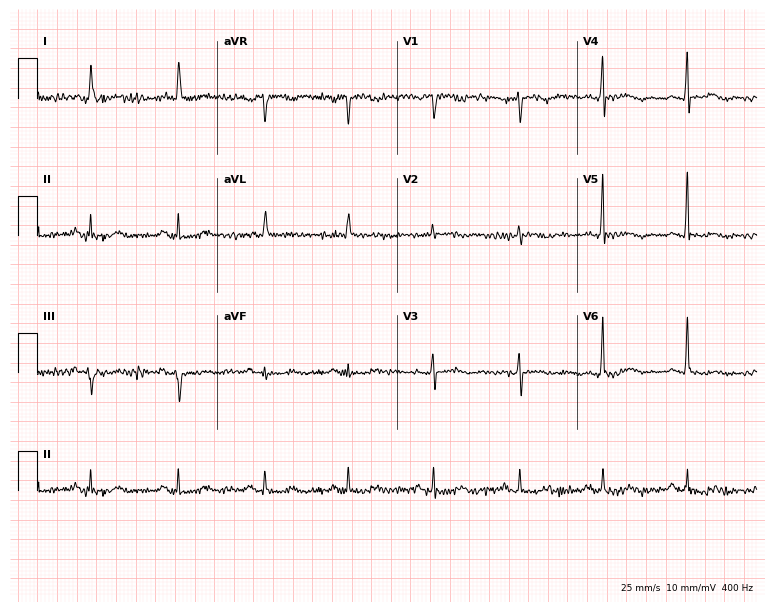
12-lead ECG (7.3-second recording at 400 Hz) from a female, 73 years old. Screened for six findings — first-degree AV block, right bundle branch block, left bundle branch block, sinus bradycardia, atrial fibrillation, sinus tachycardia — none is recorded. Other findings, if any, are not listed.